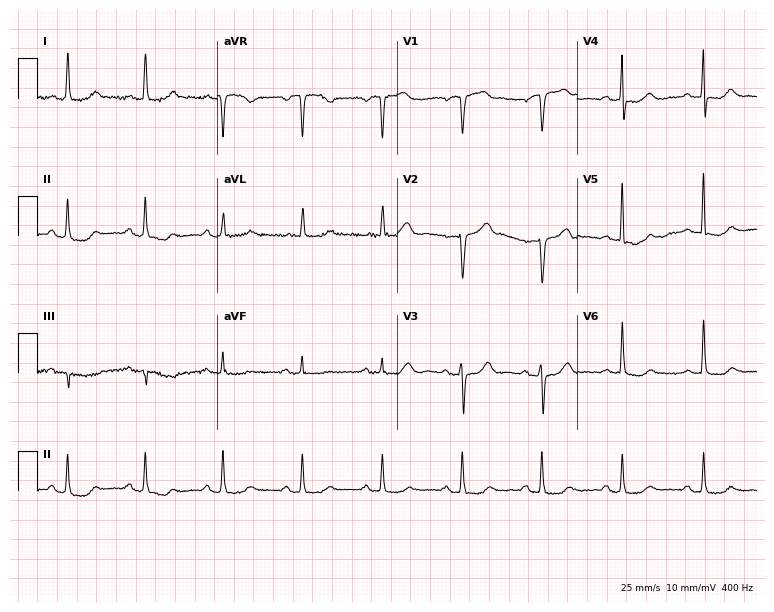
12-lead ECG from a 72-year-old female (7.3-second recording at 400 Hz). Recorded interpretation: within normal limits.